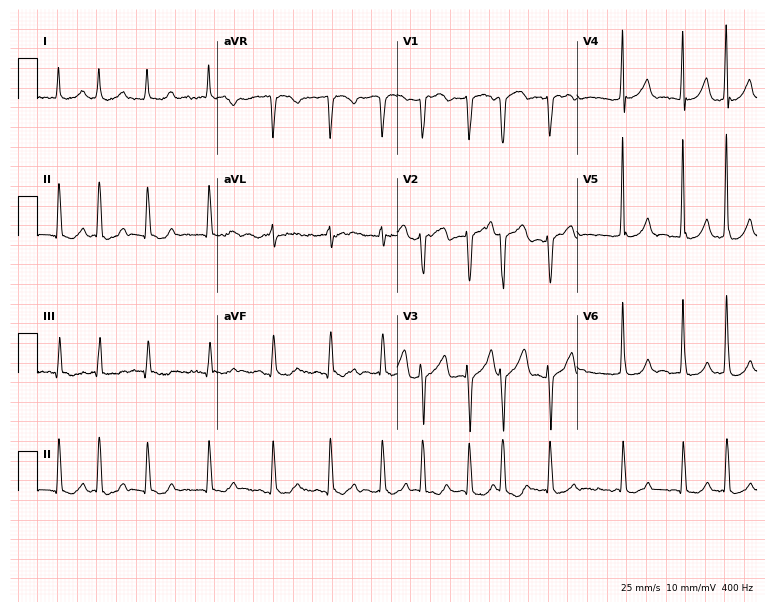
Electrocardiogram, a woman, 73 years old. Interpretation includes atrial fibrillation (AF).